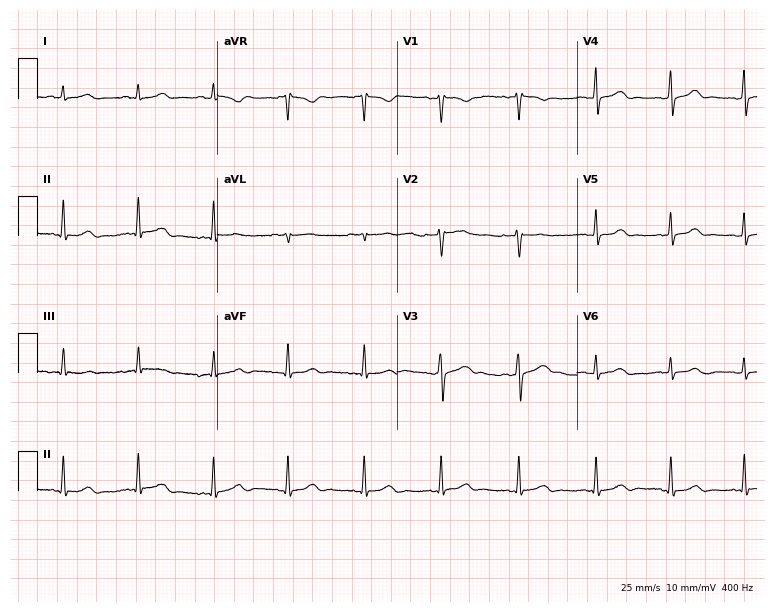
12-lead ECG from a woman, 35 years old (7.3-second recording at 400 Hz). No first-degree AV block, right bundle branch block, left bundle branch block, sinus bradycardia, atrial fibrillation or sinus tachycardia recorded for this tracing.